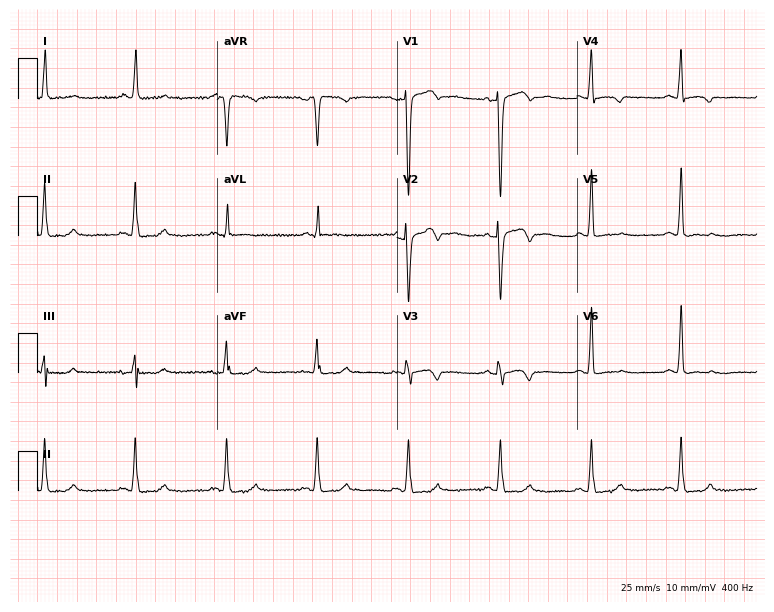
Standard 12-lead ECG recorded from a man, 75 years old (7.3-second recording at 400 Hz). Read as a normal ECG.